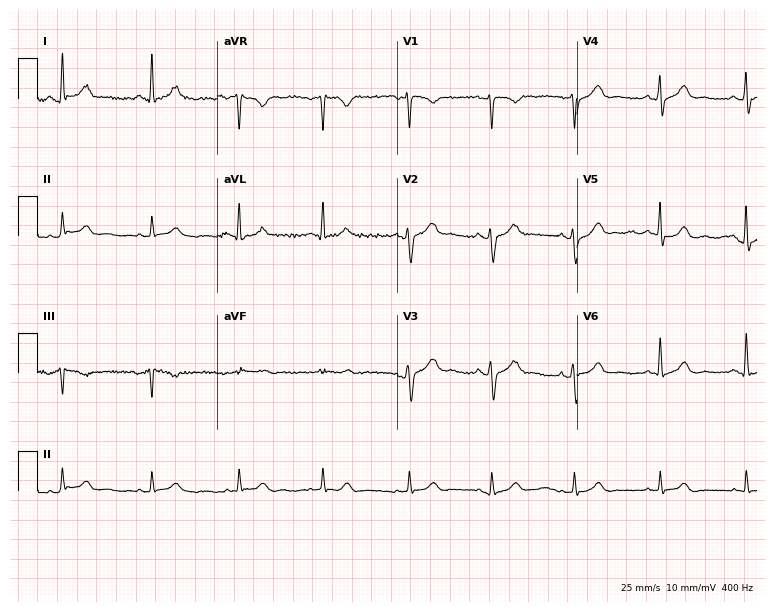
ECG — a 39-year-old man. Labelled as a normal ECG.